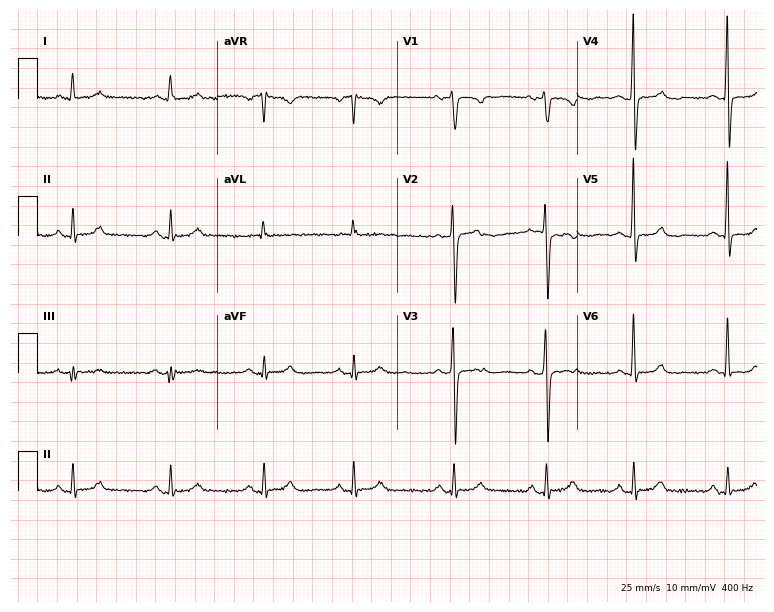
ECG — a female, 58 years old. Screened for six findings — first-degree AV block, right bundle branch block, left bundle branch block, sinus bradycardia, atrial fibrillation, sinus tachycardia — none is recorded.